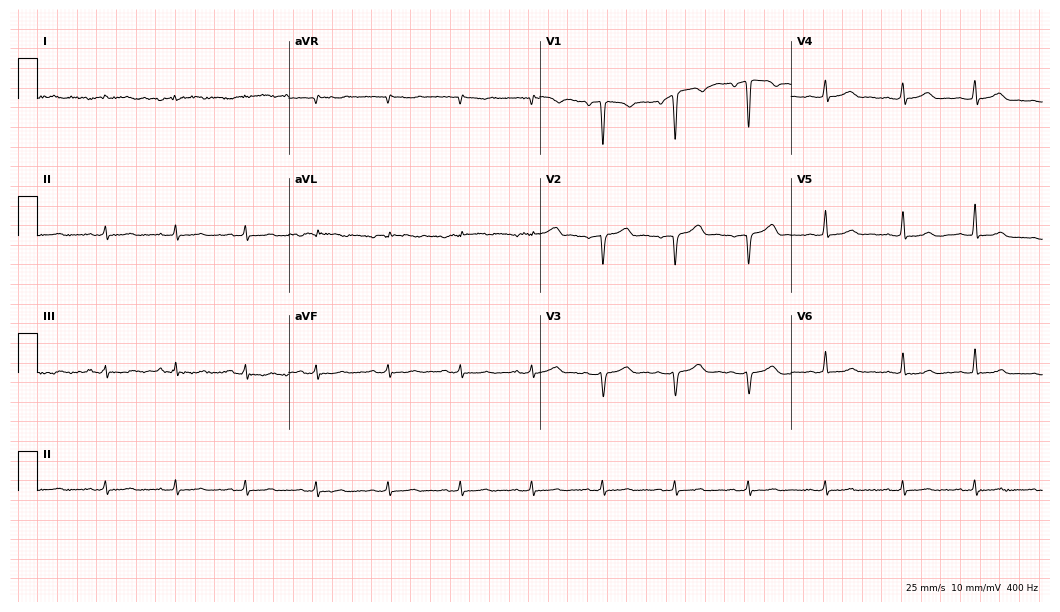
ECG (10.2-second recording at 400 Hz) — a 48-year-old female patient. Screened for six findings — first-degree AV block, right bundle branch block, left bundle branch block, sinus bradycardia, atrial fibrillation, sinus tachycardia — none is recorded. Findings outside these six are not listed.